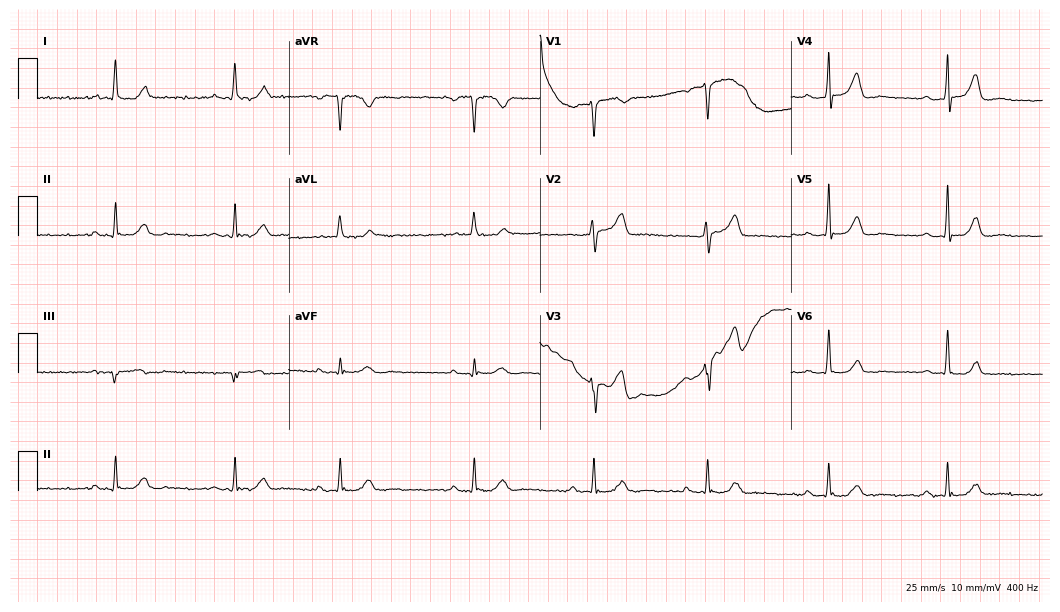
12-lead ECG from a male, 80 years old. Shows first-degree AV block, right bundle branch block (RBBB), sinus bradycardia (a sinus rate of 50 beats per minute or less).